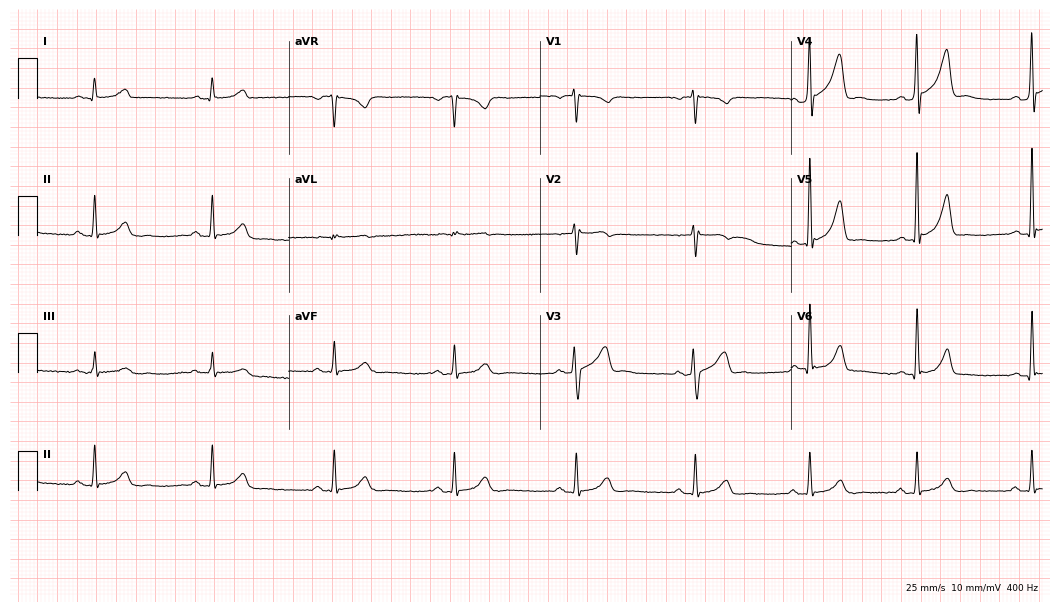
12-lead ECG from a 47-year-old male (10.2-second recording at 400 Hz). Recorded interpretation: within normal limits.